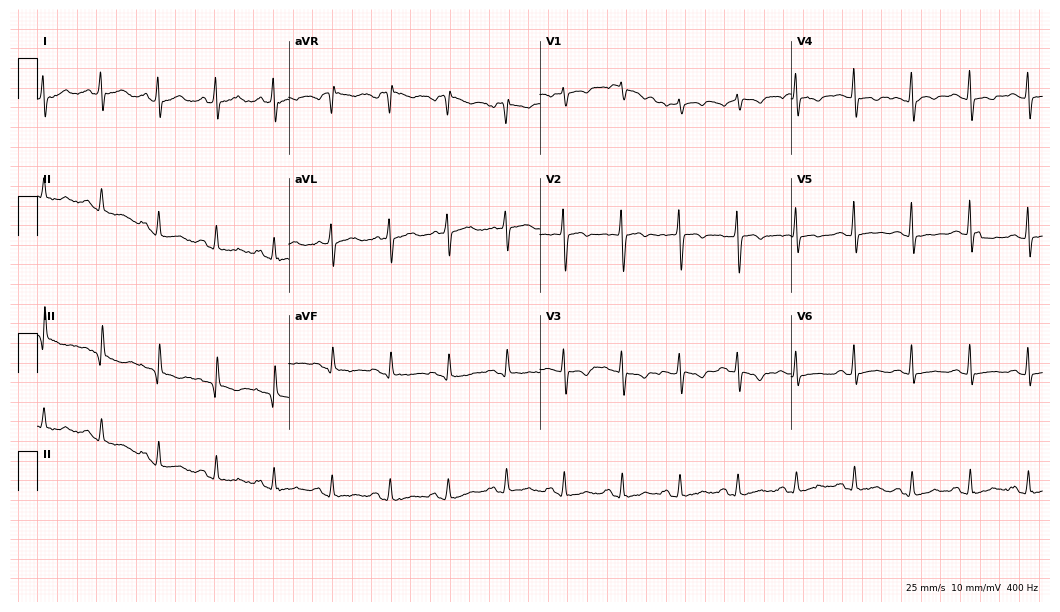
Standard 12-lead ECG recorded from a 59-year-old female patient. The tracing shows sinus tachycardia (a sinus rate of 100 beats per minute or more).